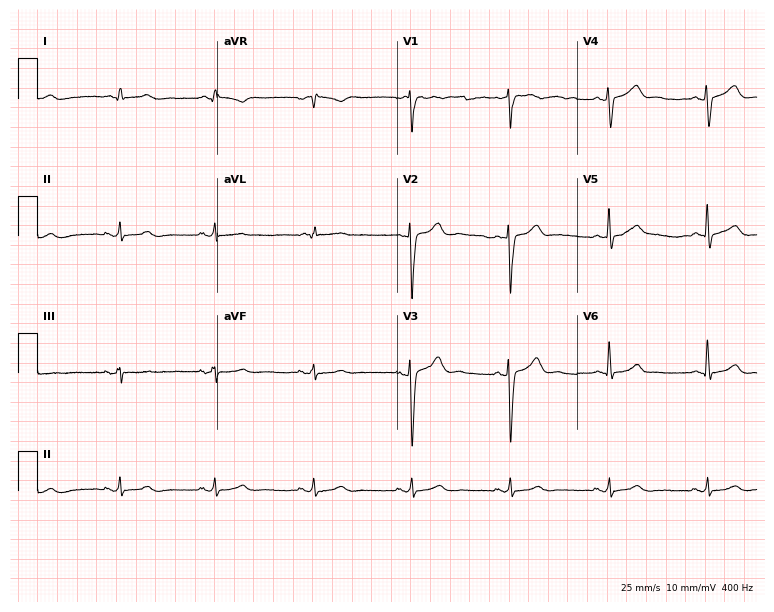
12-lead ECG (7.3-second recording at 400 Hz) from a man, 50 years old. Screened for six findings — first-degree AV block, right bundle branch block, left bundle branch block, sinus bradycardia, atrial fibrillation, sinus tachycardia — none is recorded. Findings outside these six are not listed.